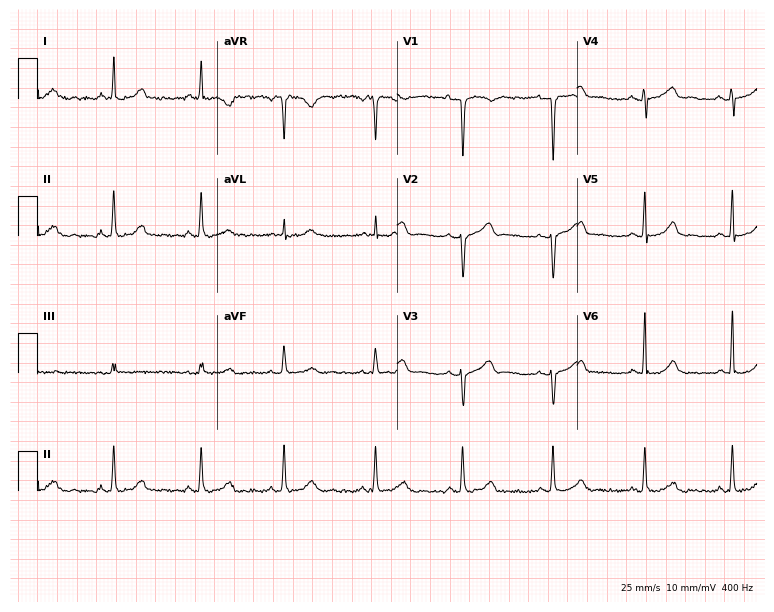
Resting 12-lead electrocardiogram. Patient: a female, 51 years old. Read as a normal ECG.